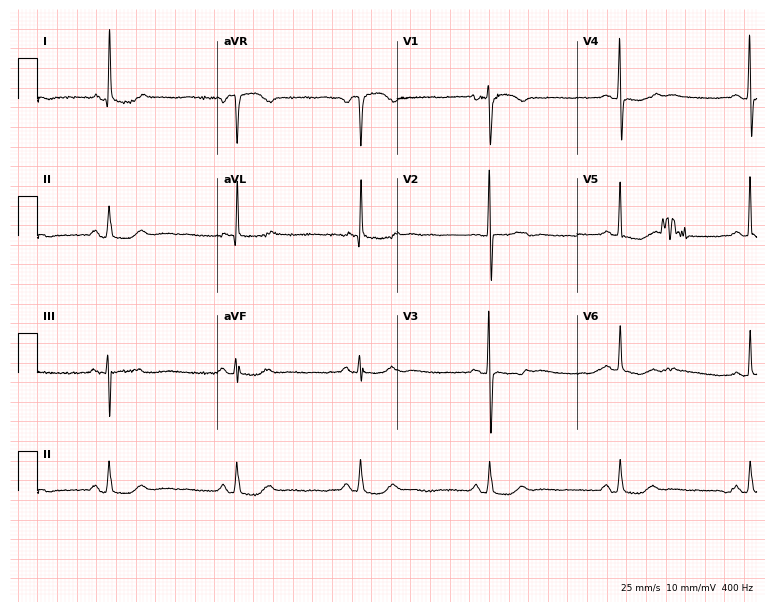
Electrocardiogram, a 60-year-old female patient. Of the six screened findings (first-degree AV block, right bundle branch block, left bundle branch block, sinus bradycardia, atrial fibrillation, sinus tachycardia), none is recorded.